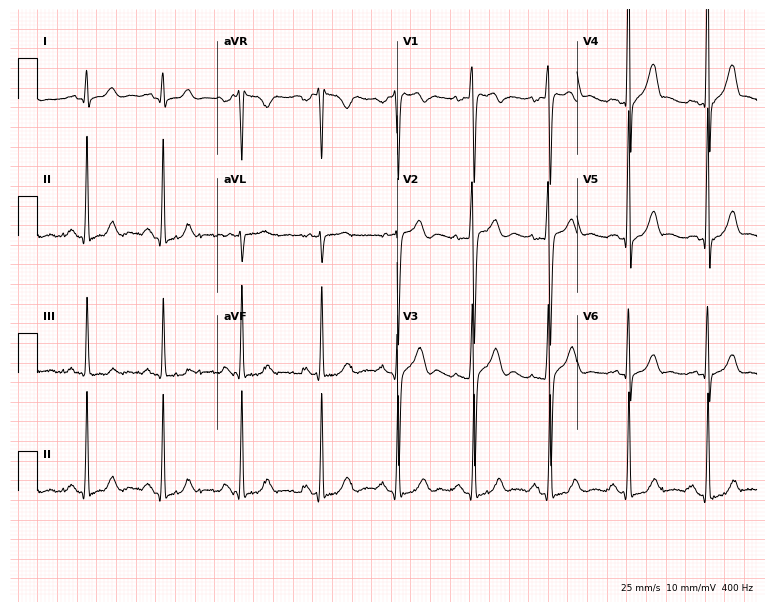
12-lead ECG from a man, 17 years old (7.3-second recording at 400 Hz). Recorded interpretation: within normal limits.